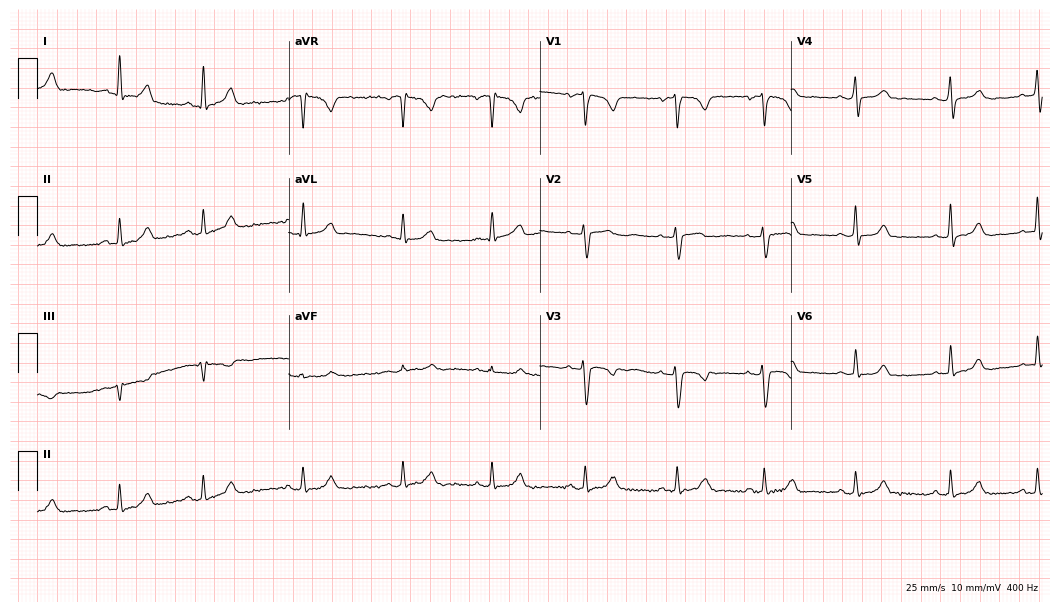
Electrocardiogram (10.2-second recording at 400 Hz), a 37-year-old female patient. Overall reading on record: normal ECG.